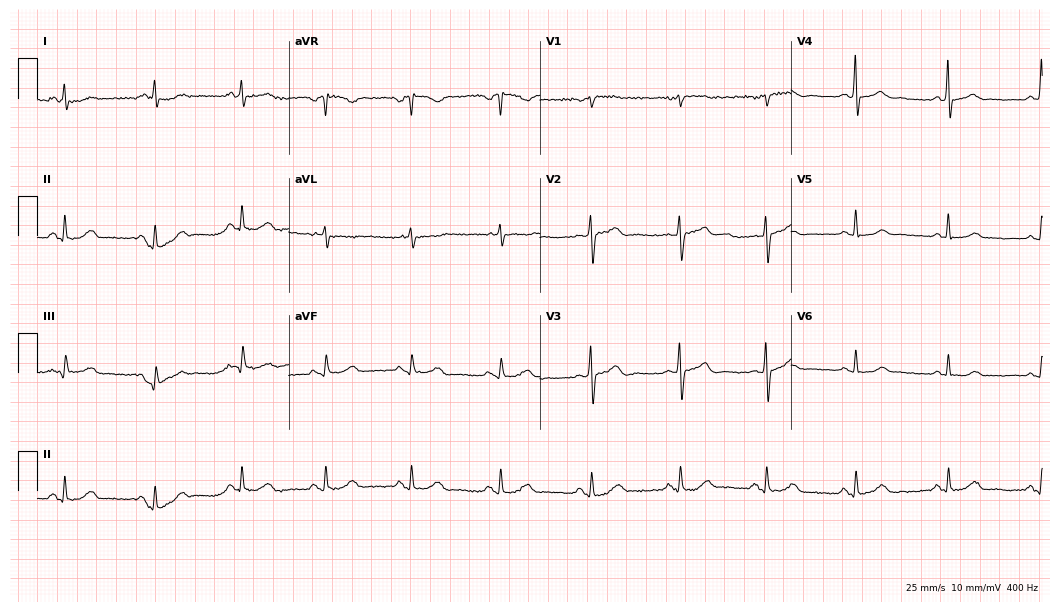
Electrocardiogram, a male patient, 45 years old. Overall reading on record: normal ECG.